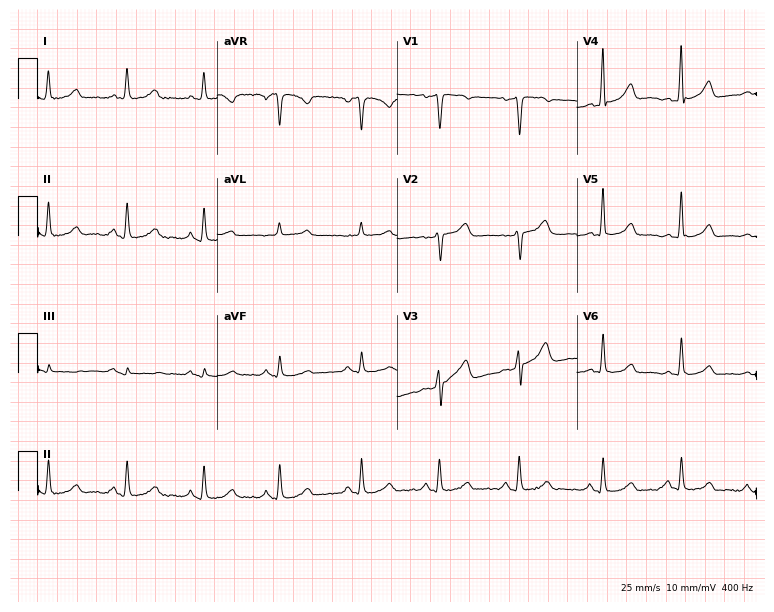
Standard 12-lead ECG recorded from a female, 64 years old (7.3-second recording at 400 Hz). None of these six findings is recorded: first-degree AV block, right bundle branch block, left bundle branch block, sinus bradycardia, atrial fibrillation, sinus tachycardia.